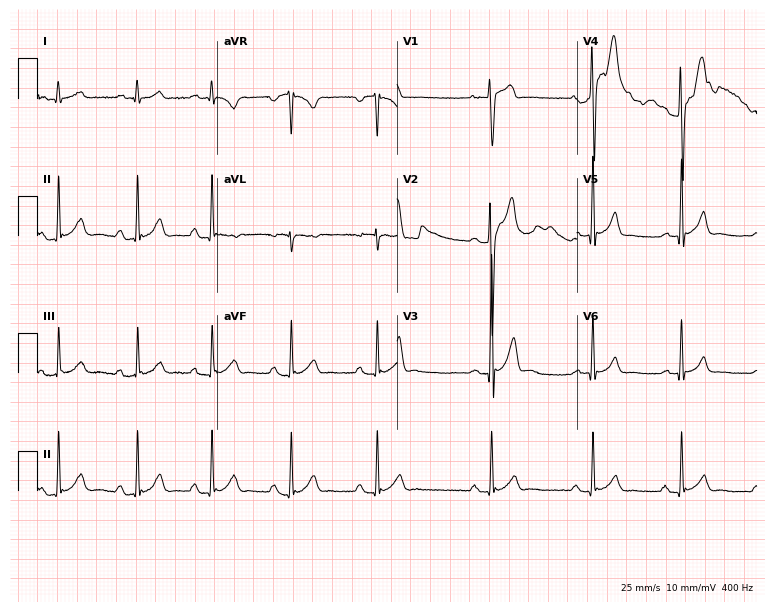
12-lead ECG from a man, 19 years old. Recorded interpretation: within normal limits.